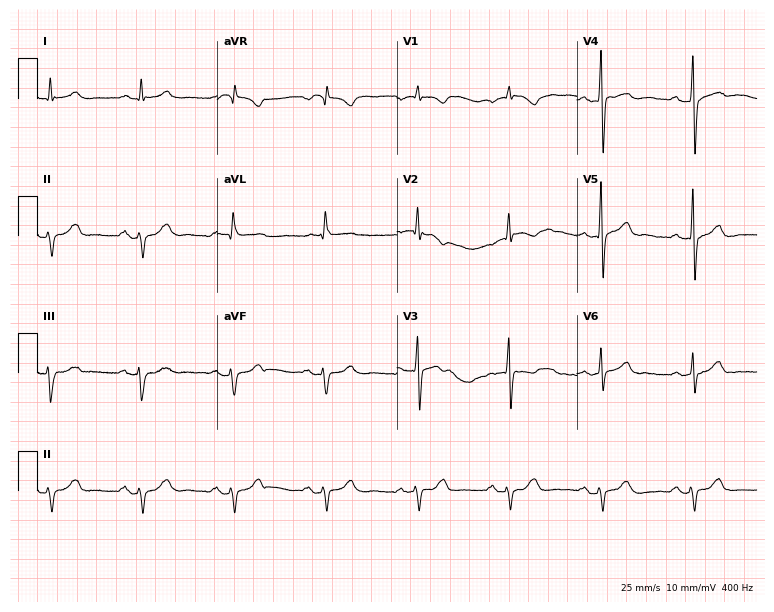
Resting 12-lead electrocardiogram (7.3-second recording at 400 Hz). Patient: a male, 67 years old. None of these six findings is recorded: first-degree AV block, right bundle branch block (RBBB), left bundle branch block (LBBB), sinus bradycardia, atrial fibrillation (AF), sinus tachycardia. Only these six findings were labelled.